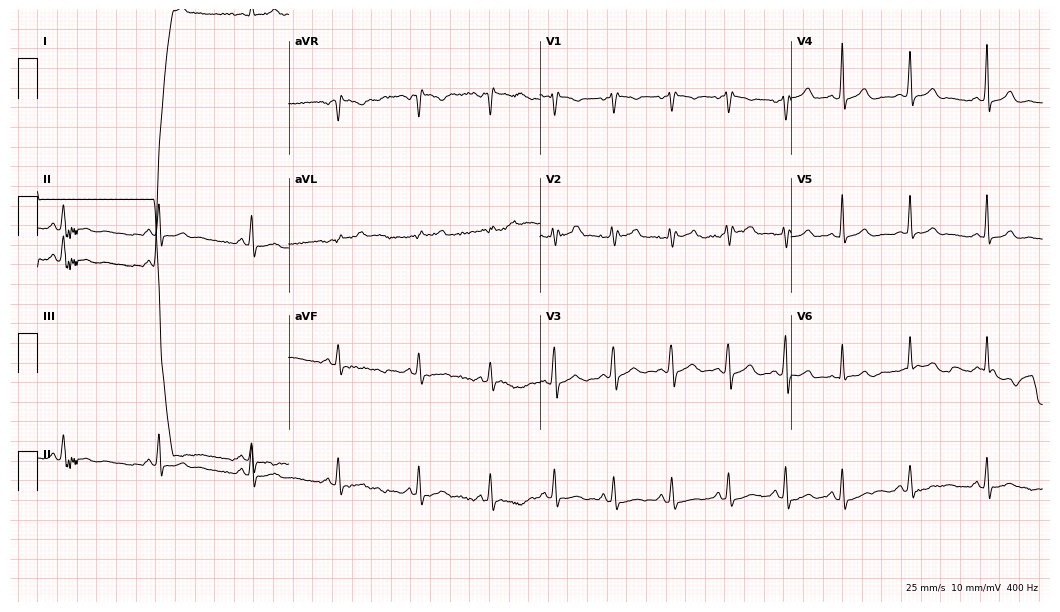
Standard 12-lead ECG recorded from a woman, 39 years old (10.2-second recording at 400 Hz). None of these six findings is recorded: first-degree AV block, right bundle branch block, left bundle branch block, sinus bradycardia, atrial fibrillation, sinus tachycardia.